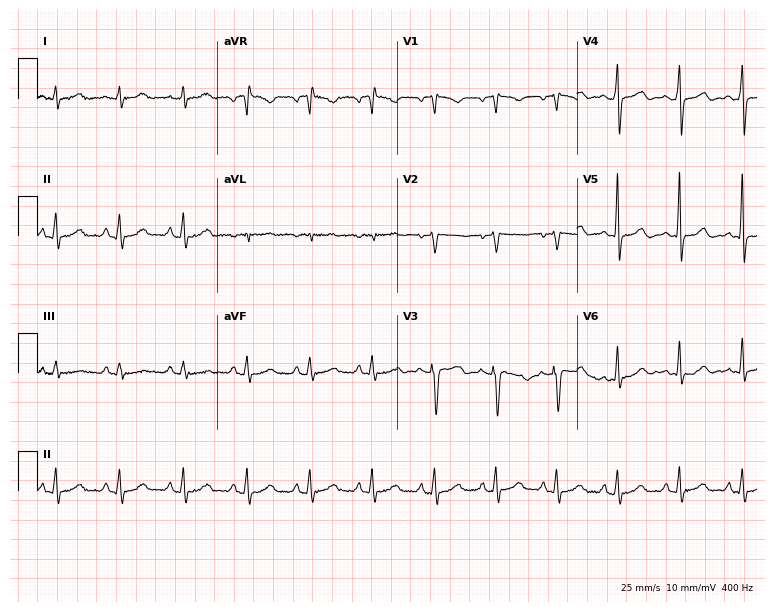
Standard 12-lead ECG recorded from a female, 37 years old (7.3-second recording at 400 Hz). None of these six findings is recorded: first-degree AV block, right bundle branch block, left bundle branch block, sinus bradycardia, atrial fibrillation, sinus tachycardia. Only these six findings were labelled.